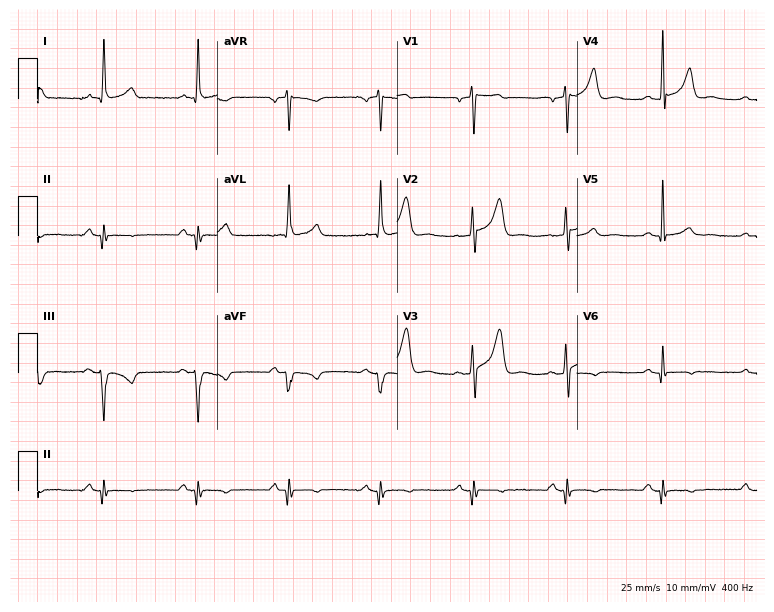
ECG — a male, 65 years old. Screened for six findings — first-degree AV block, right bundle branch block, left bundle branch block, sinus bradycardia, atrial fibrillation, sinus tachycardia — none is recorded.